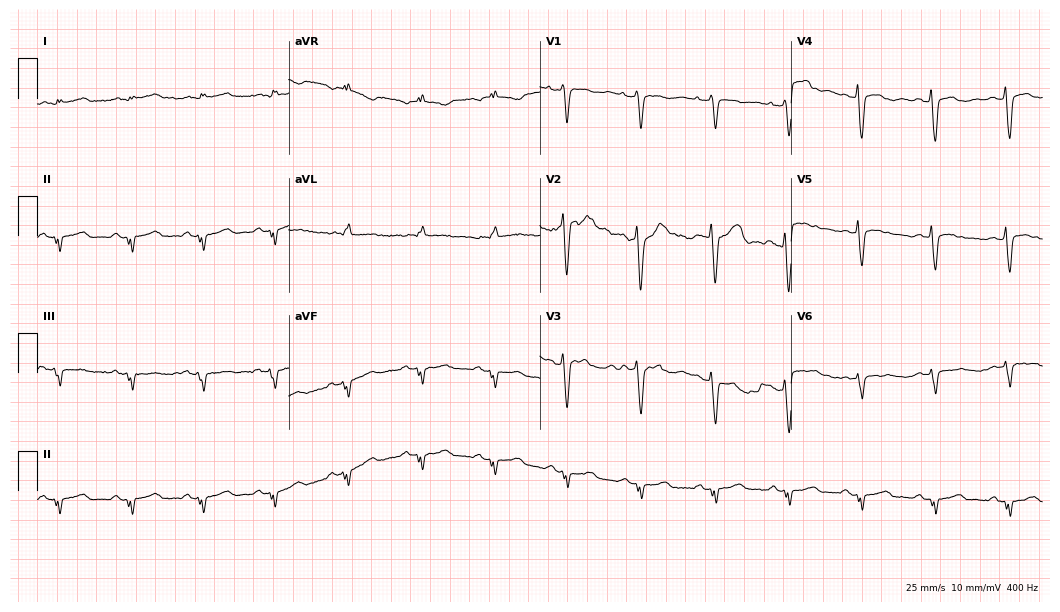
12-lead ECG from a man, 41 years old. No first-degree AV block, right bundle branch block, left bundle branch block, sinus bradycardia, atrial fibrillation or sinus tachycardia recorded for this tracing. Only these six findings were labelled.